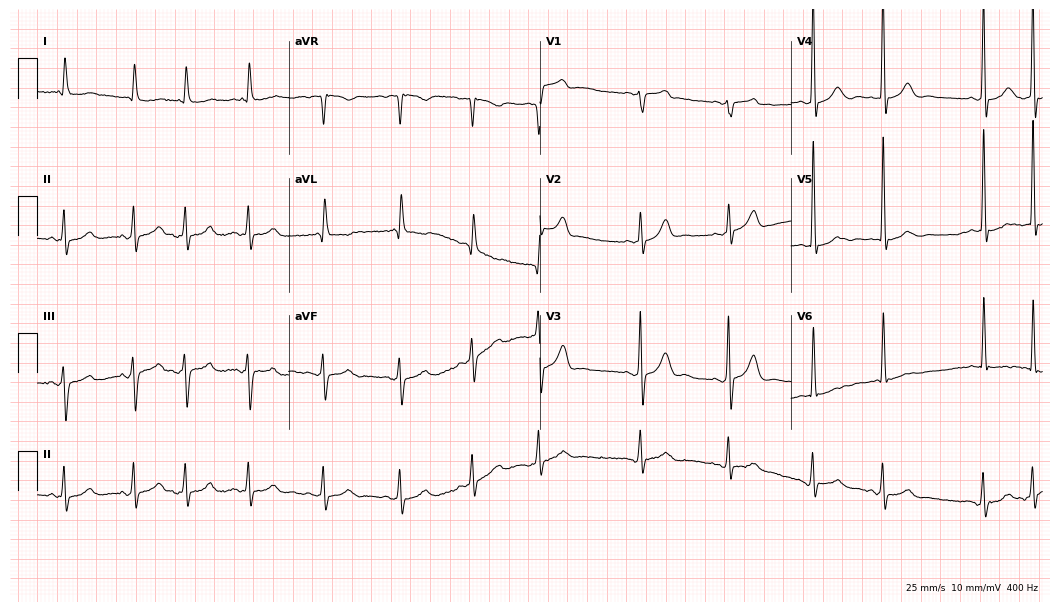
Standard 12-lead ECG recorded from a male patient, 80 years old (10.2-second recording at 400 Hz). None of these six findings is recorded: first-degree AV block, right bundle branch block, left bundle branch block, sinus bradycardia, atrial fibrillation, sinus tachycardia.